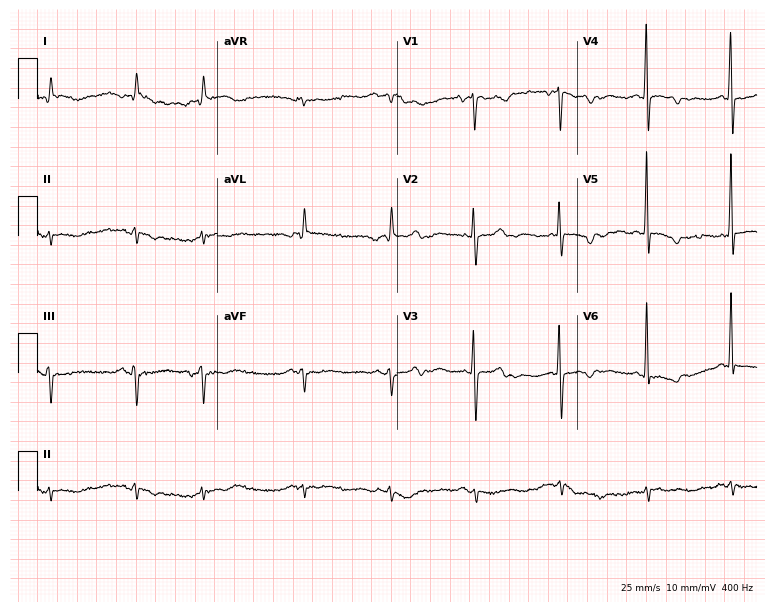
12-lead ECG from a female, 77 years old (7.3-second recording at 400 Hz). No first-degree AV block, right bundle branch block, left bundle branch block, sinus bradycardia, atrial fibrillation or sinus tachycardia recorded for this tracing. Other findings, if any, are not listed.